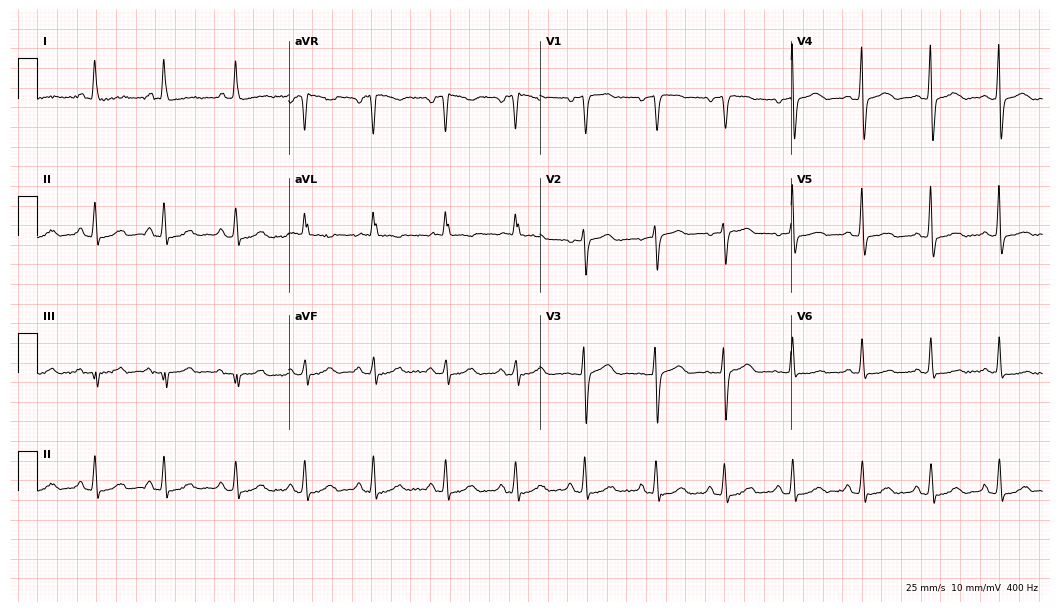
ECG (10.2-second recording at 400 Hz) — a 59-year-old female patient. Screened for six findings — first-degree AV block, right bundle branch block (RBBB), left bundle branch block (LBBB), sinus bradycardia, atrial fibrillation (AF), sinus tachycardia — none is recorded. Only these six findings were labelled.